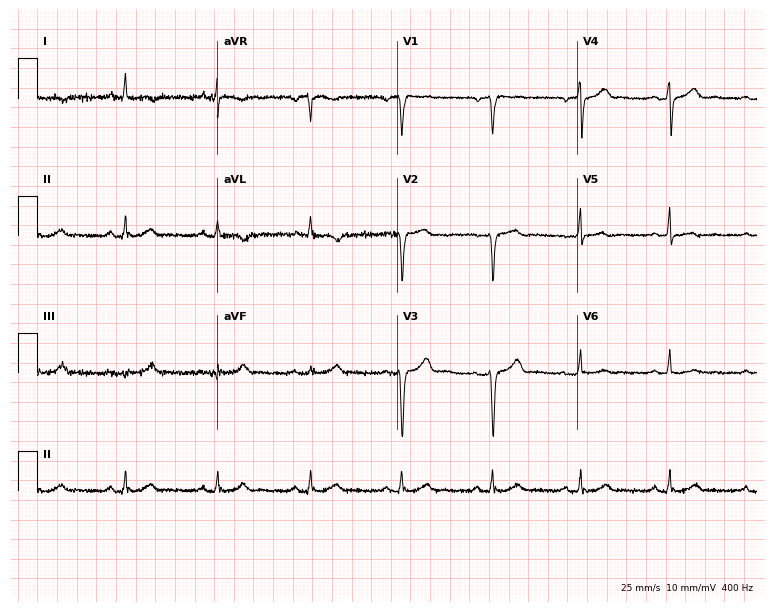
ECG (7.3-second recording at 400 Hz) — a 63-year-old male. Screened for six findings — first-degree AV block, right bundle branch block, left bundle branch block, sinus bradycardia, atrial fibrillation, sinus tachycardia — none is recorded.